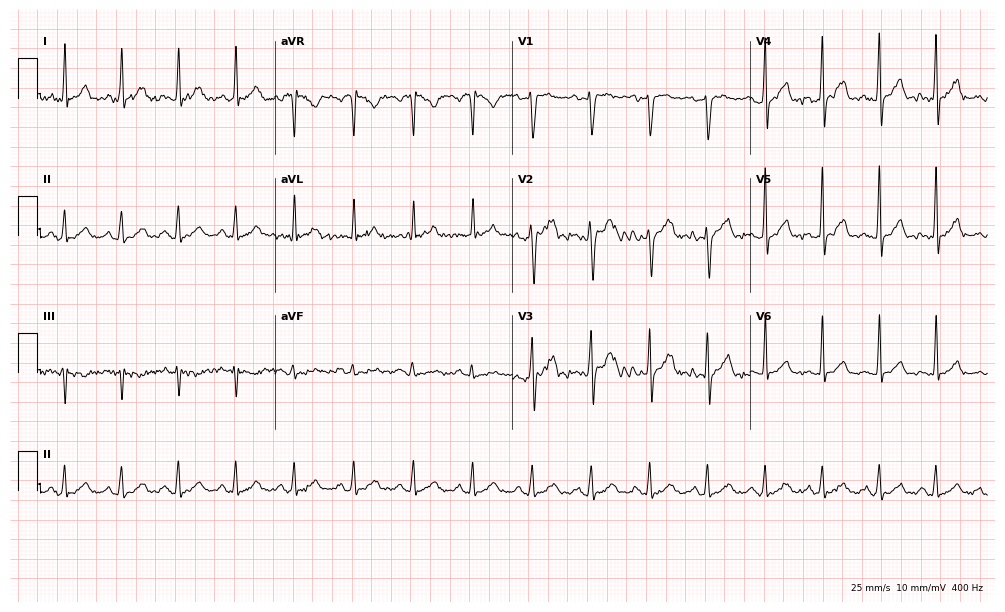
Electrocardiogram, a female, 35 years old. Interpretation includes sinus tachycardia (a sinus rate of 100 beats per minute or more).